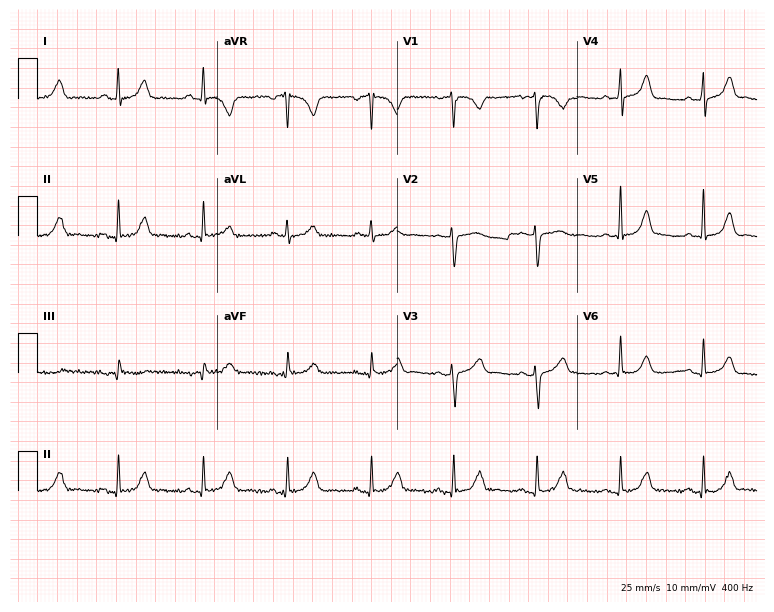
12-lead ECG from a female, 51 years old (7.3-second recording at 400 Hz). Recorded interpretation: within normal limits.